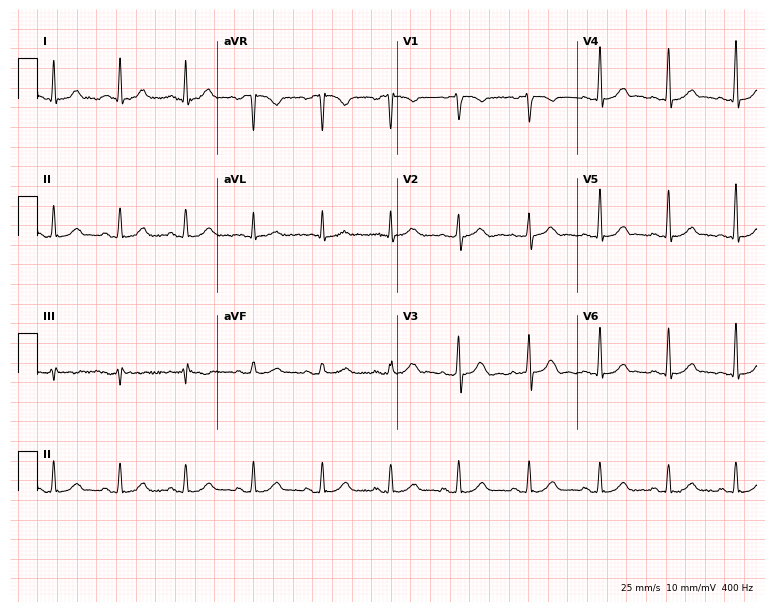
Resting 12-lead electrocardiogram. Patient: a male, 44 years old. Read as a normal ECG.